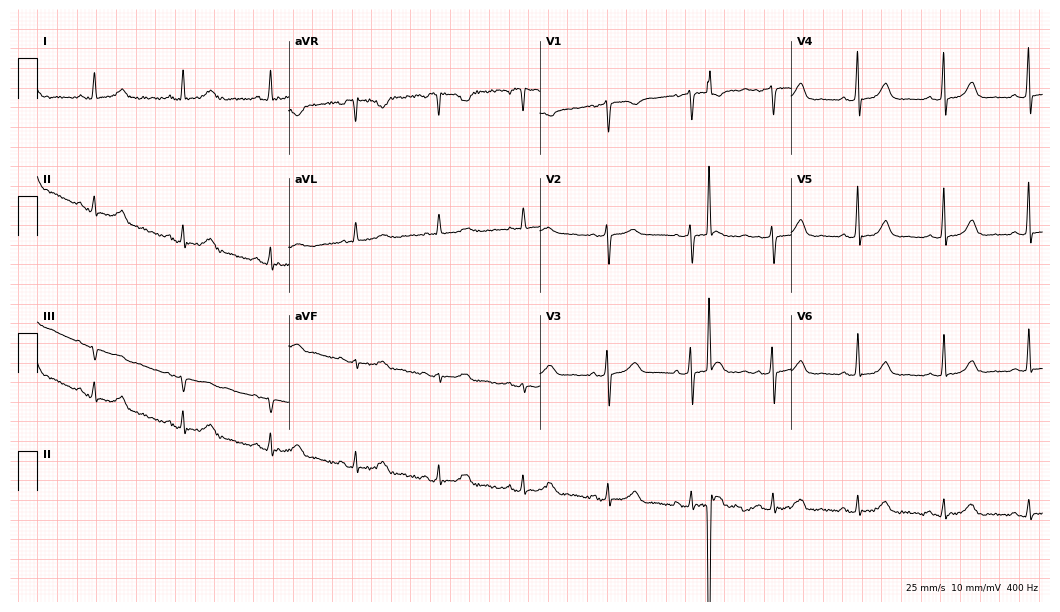
12-lead ECG (10.2-second recording at 400 Hz) from a 57-year-old woman. Labelled as a normal ECG.